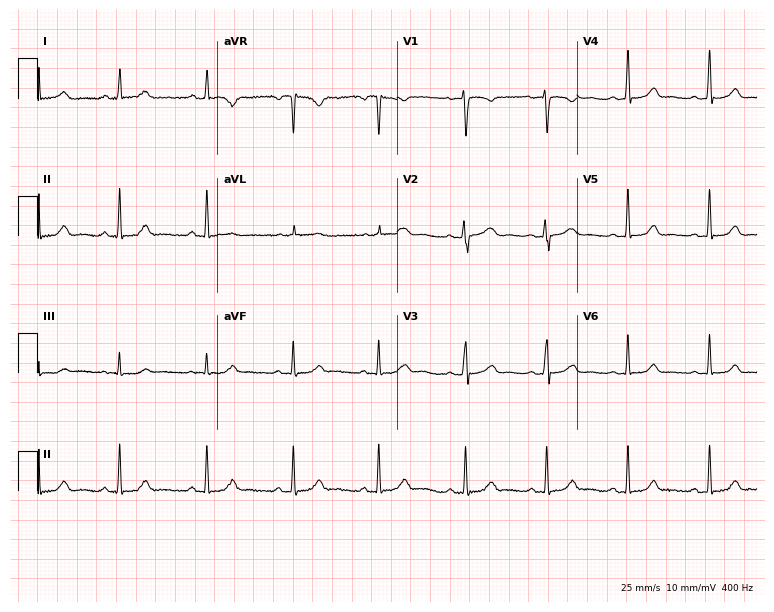
Standard 12-lead ECG recorded from a female, 34 years old. Read as a normal ECG.